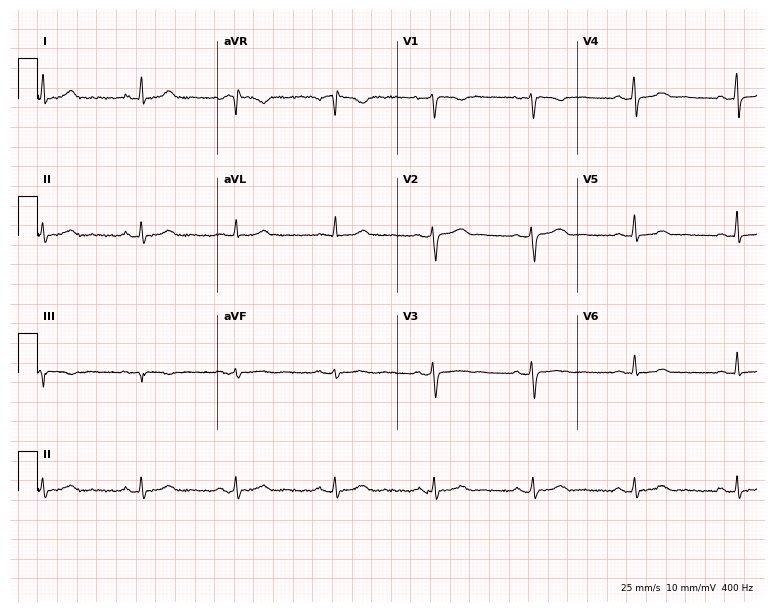
Resting 12-lead electrocardiogram (7.3-second recording at 400 Hz). Patient: a 42-year-old female. Read as a normal ECG.